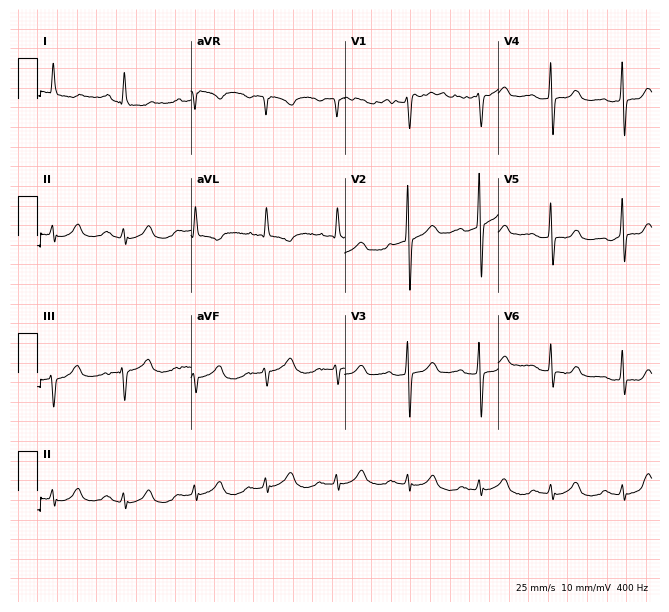
Standard 12-lead ECG recorded from a 77-year-old female patient (6.3-second recording at 400 Hz). Read as a normal ECG.